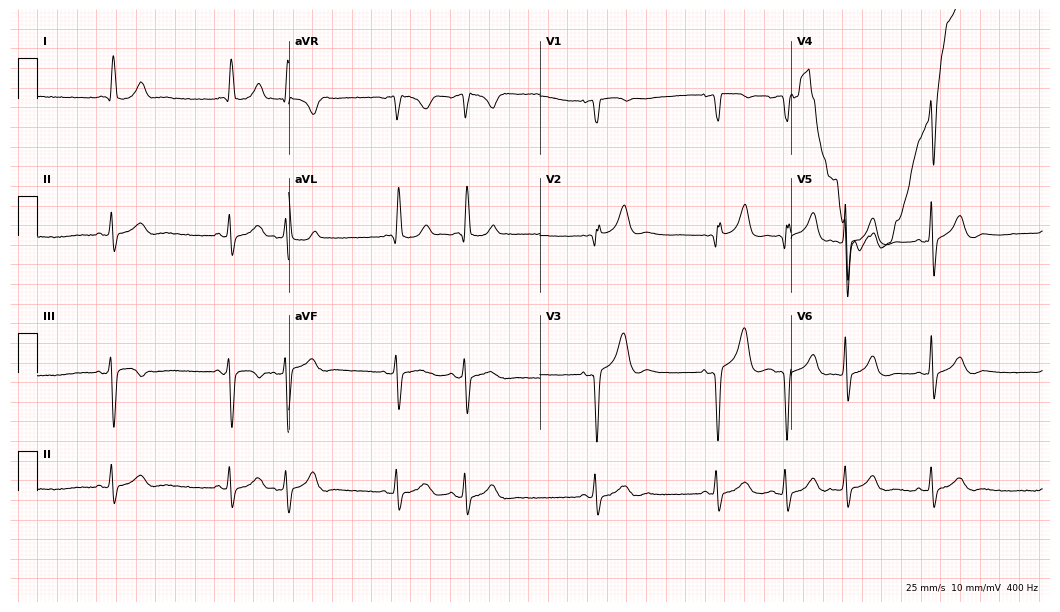
Resting 12-lead electrocardiogram (10.2-second recording at 400 Hz). Patient: a female, 84 years old. None of these six findings is recorded: first-degree AV block, right bundle branch block (RBBB), left bundle branch block (LBBB), sinus bradycardia, atrial fibrillation (AF), sinus tachycardia. Other findings, if any, are not listed.